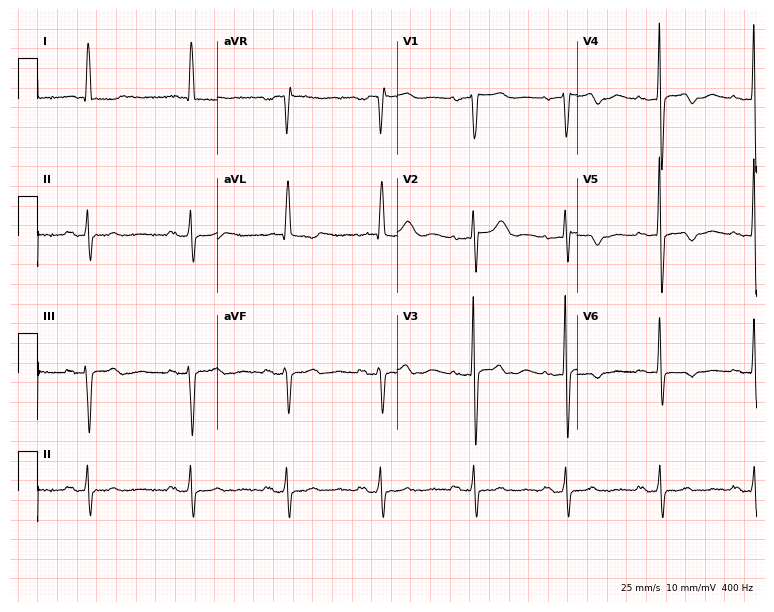
12-lead ECG (7.3-second recording at 400 Hz) from an 84-year-old woman. Screened for six findings — first-degree AV block, right bundle branch block, left bundle branch block, sinus bradycardia, atrial fibrillation, sinus tachycardia — none is recorded.